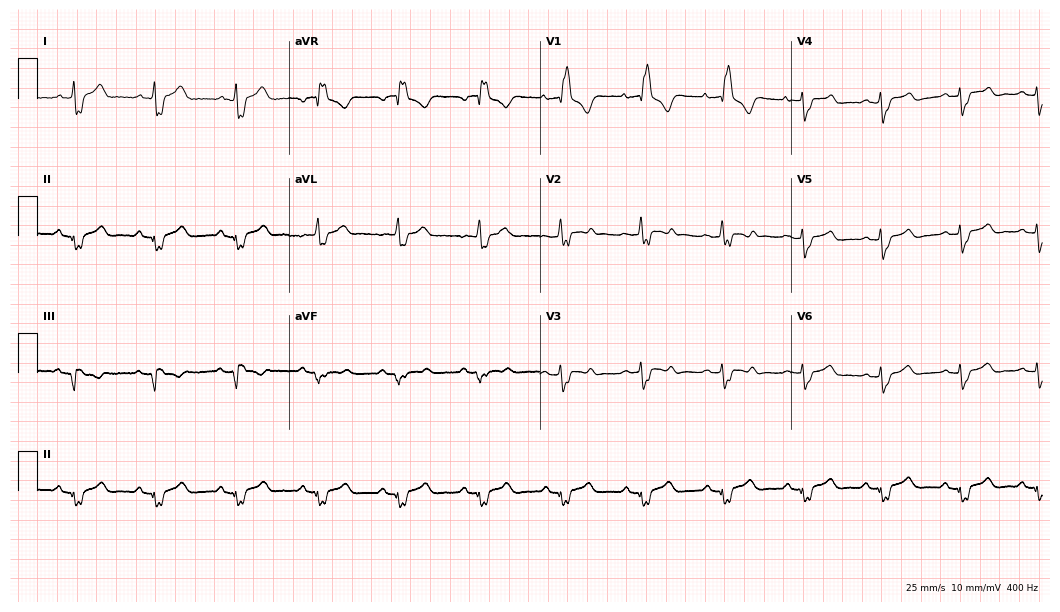
12-lead ECG from a male, 39 years old. Screened for six findings — first-degree AV block, right bundle branch block, left bundle branch block, sinus bradycardia, atrial fibrillation, sinus tachycardia — none is recorded.